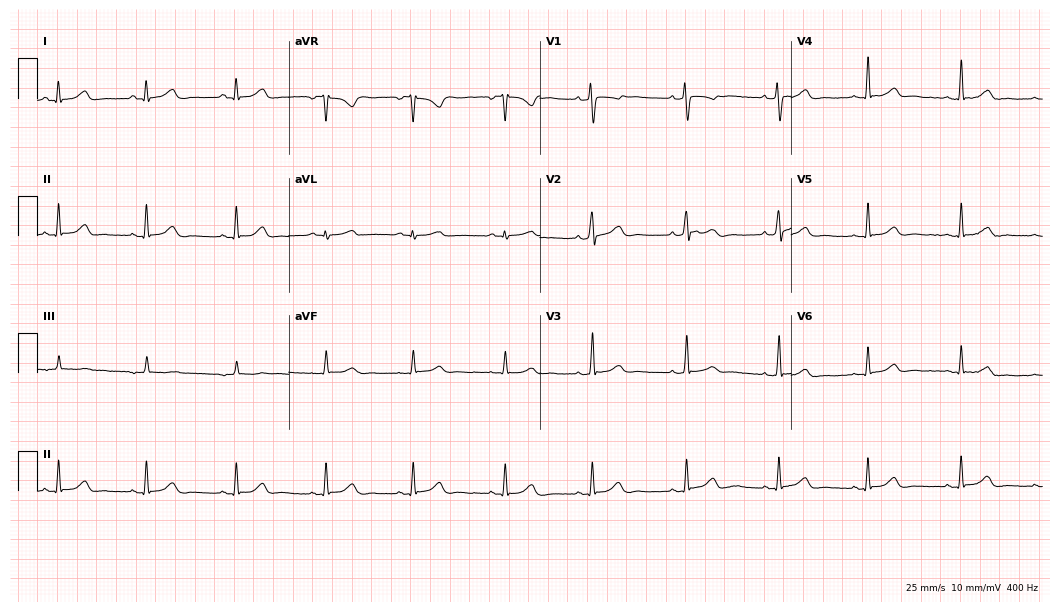
ECG — a 43-year-old woman. Labelled as a normal ECG.